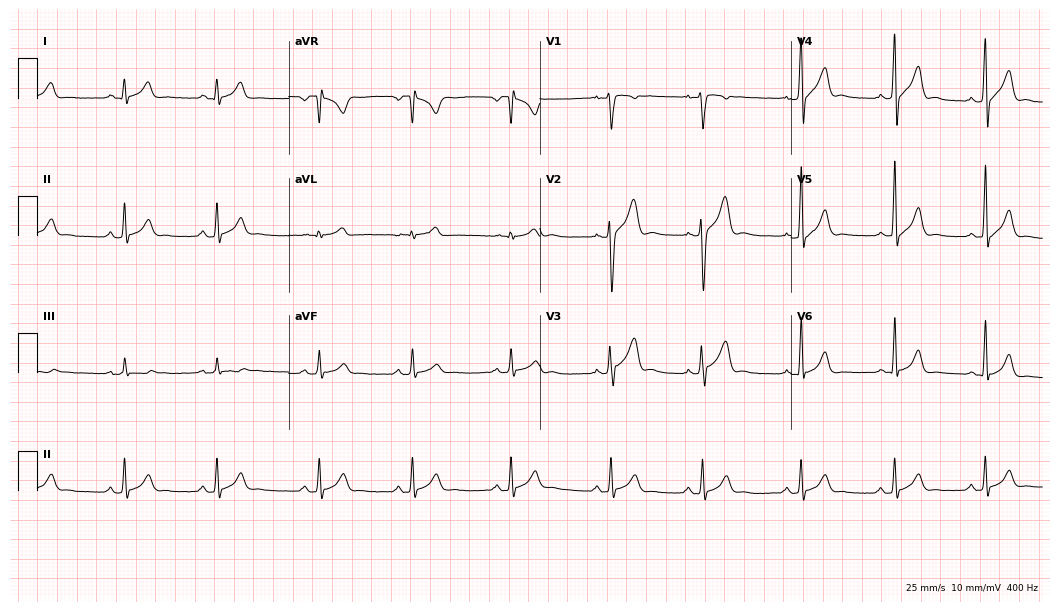
Standard 12-lead ECG recorded from a 17-year-old man. Read as a normal ECG.